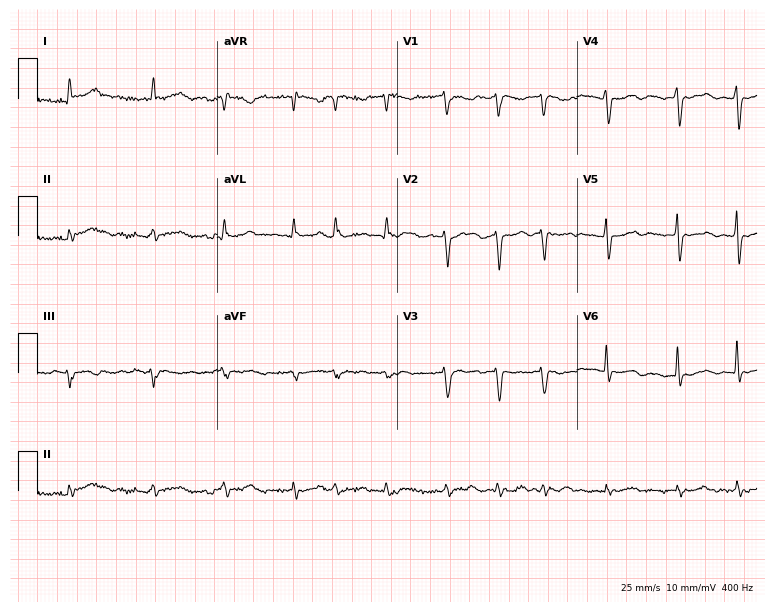
Standard 12-lead ECG recorded from a 69-year-old female. The tracing shows atrial fibrillation.